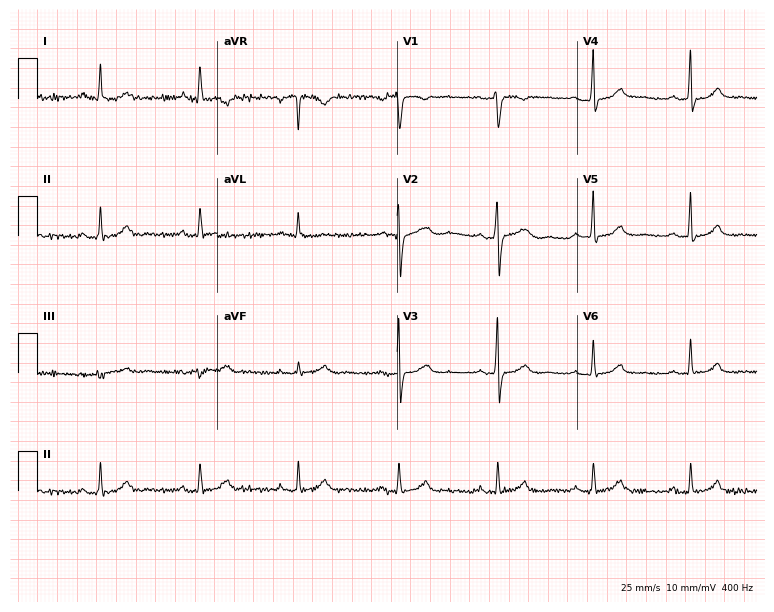
12-lead ECG from a 37-year-old female patient. Labelled as a normal ECG.